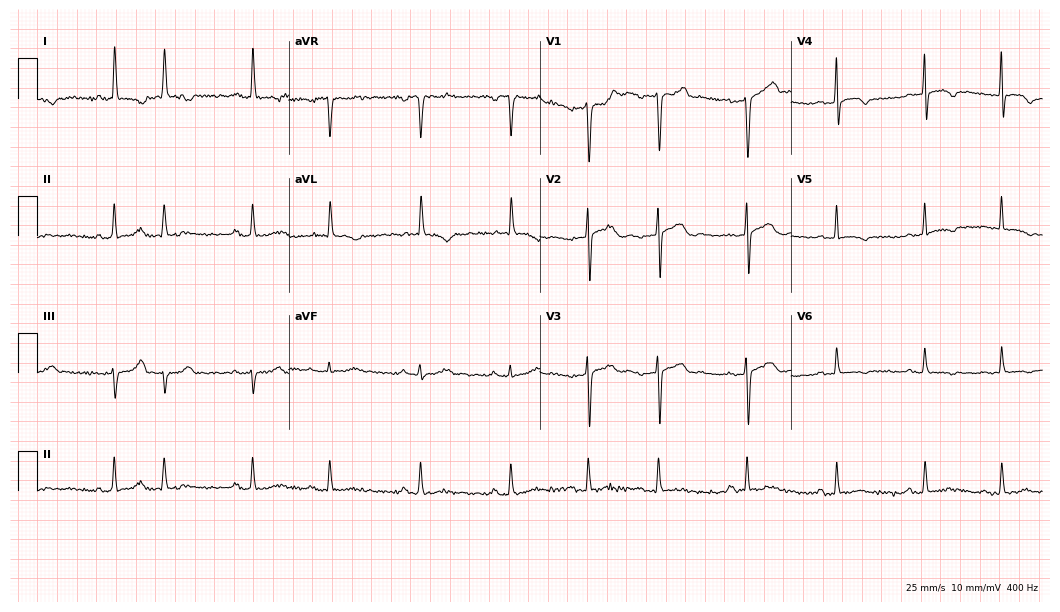
ECG — an 85-year-old woman. Screened for six findings — first-degree AV block, right bundle branch block, left bundle branch block, sinus bradycardia, atrial fibrillation, sinus tachycardia — none is recorded. Other findings, if any, are not listed.